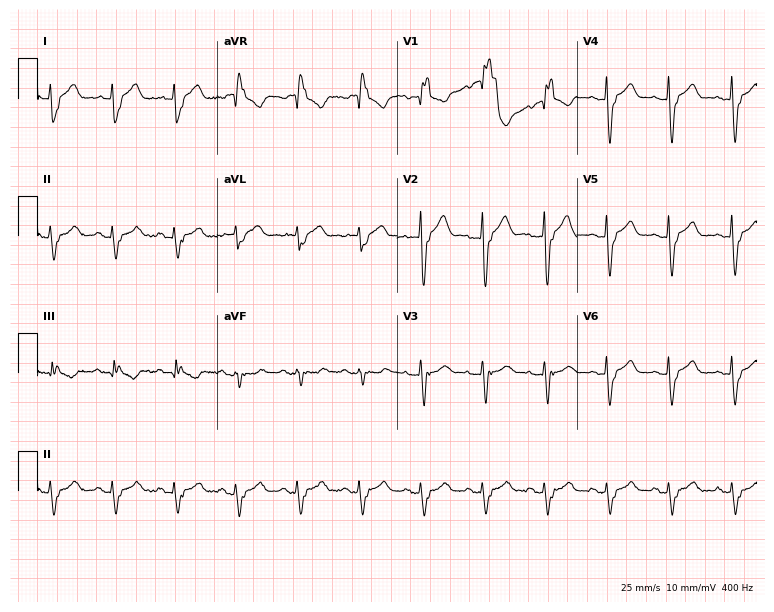
12-lead ECG (7.3-second recording at 400 Hz) from an 83-year-old female. Findings include left bundle branch block (LBBB).